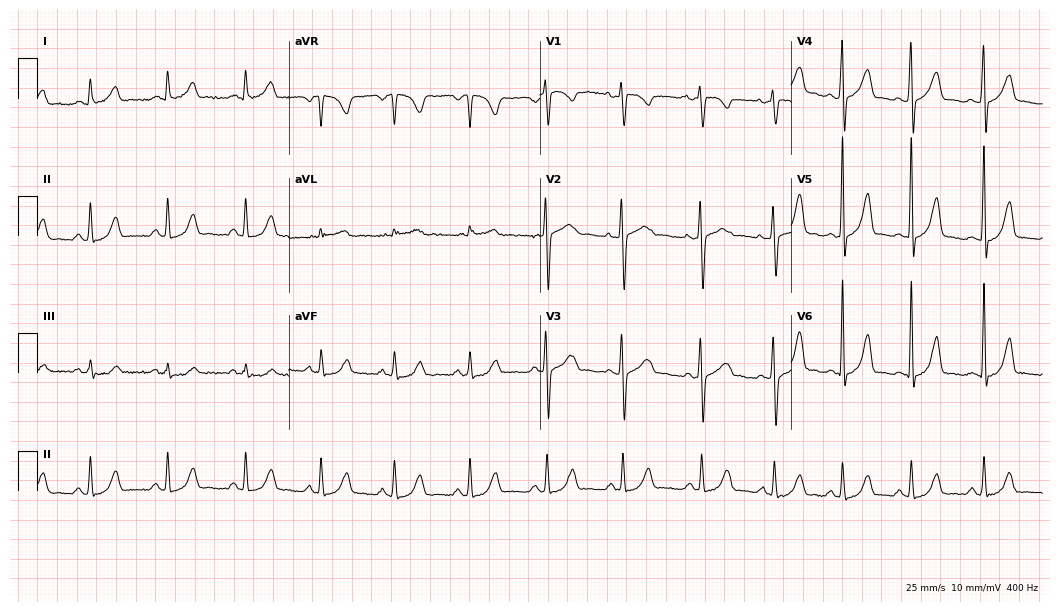
ECG (10.2-second recording at 400 Hz) — a 27-year-old female patient. Labelled as a normal ECG.